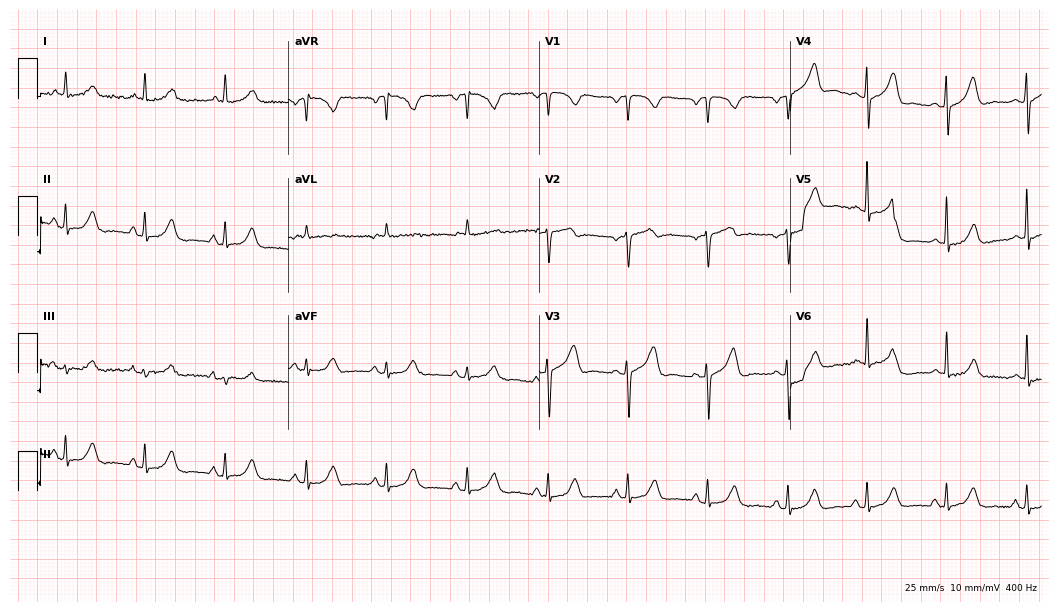
12-lead ECG from a 63-year-old female patient (10.2-second recording at 400 Hz). Recorded interpretation: within normal limits.